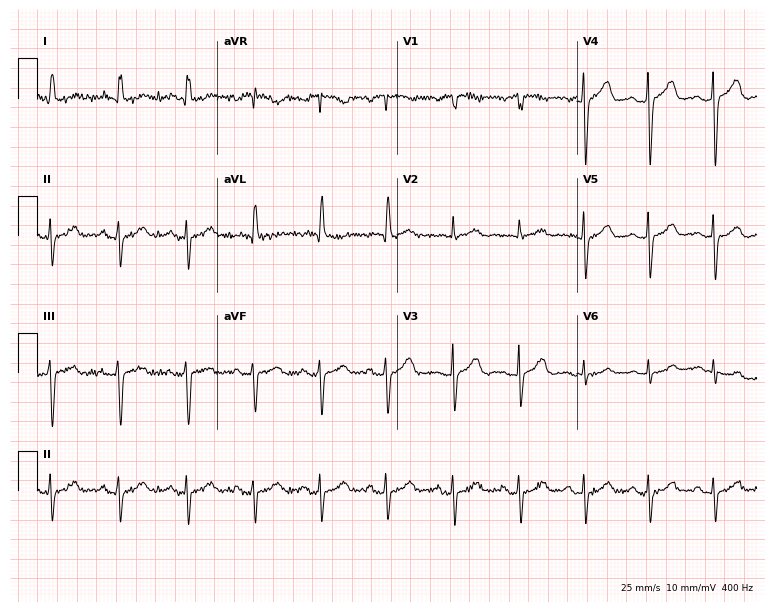
12-lead ECG from a male, 84 years old. Screened for six findings — first-degree AV block, right bundle branch block, left bundle branch block, sinus bradycardia, atrial fibrillation, sinus tachycardia — none is recorded. Only these six findings were labelled.